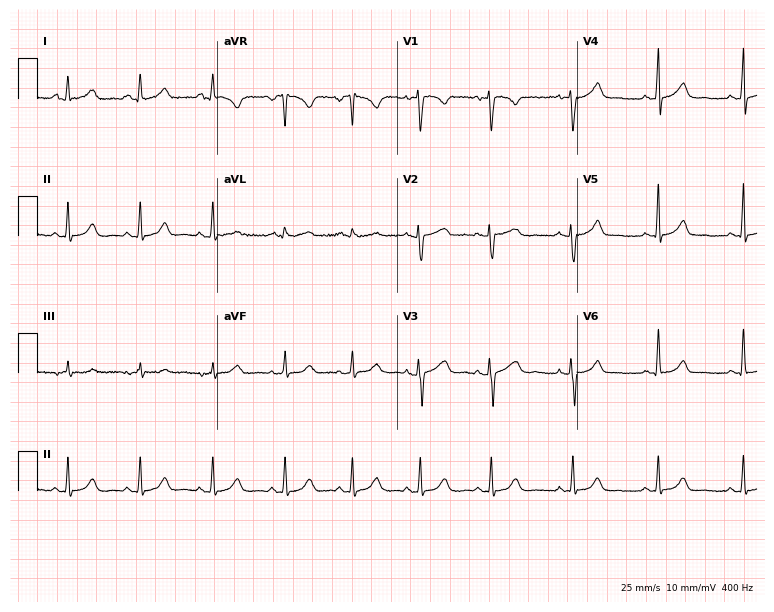
Standard 12-lead ECG recorded from a female patient, 28 years old. Read as a normal ECG.